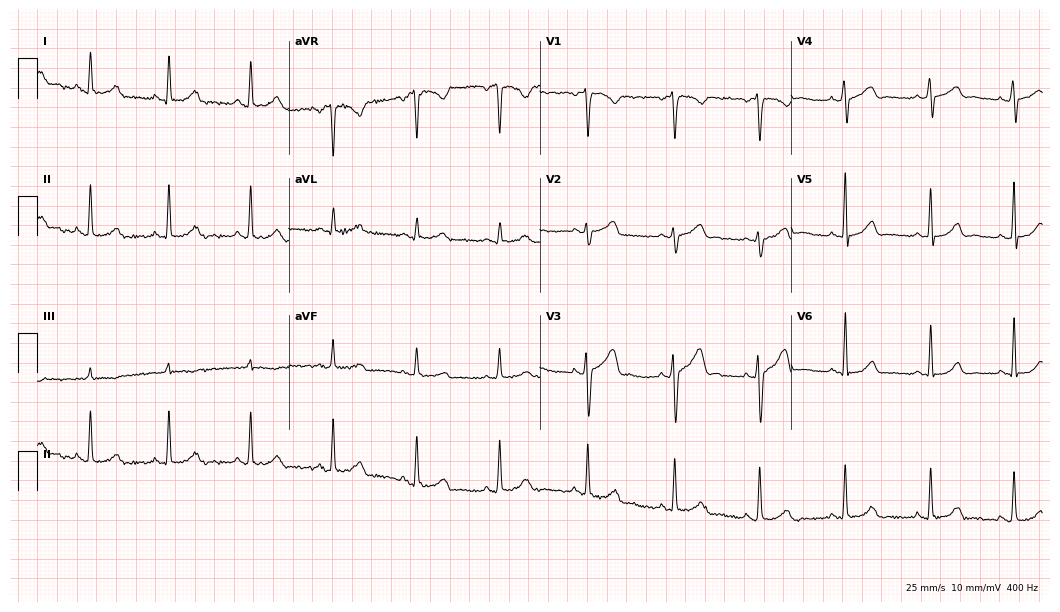
ECG — a 45-year-old female patient. Labelled as a normal ECG.